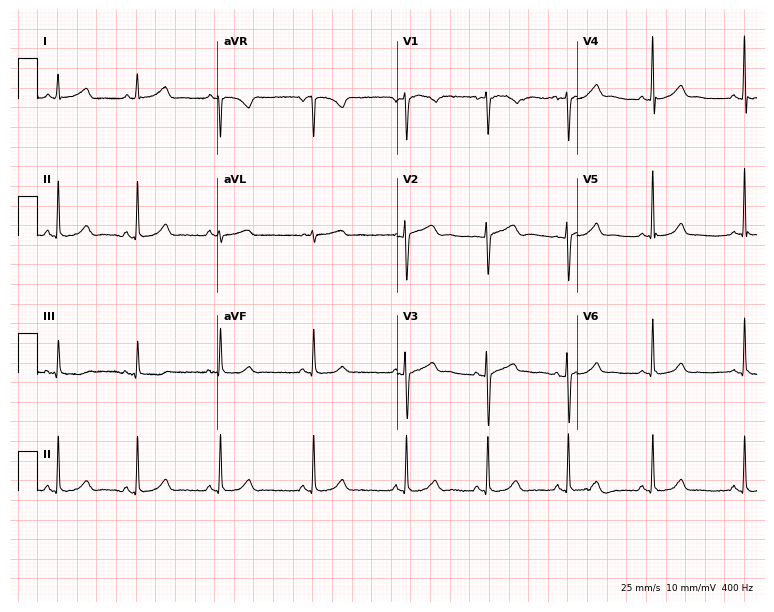
Standard 12-lead ECG recorded from a 20-year-old woman. None of these six findings is recorded: first-degree AV block, right bundle branch block, left bundle branch block, sinus bradycardia, atrial fibrillation, sinus tachycardia. Only these six findings were labelled.